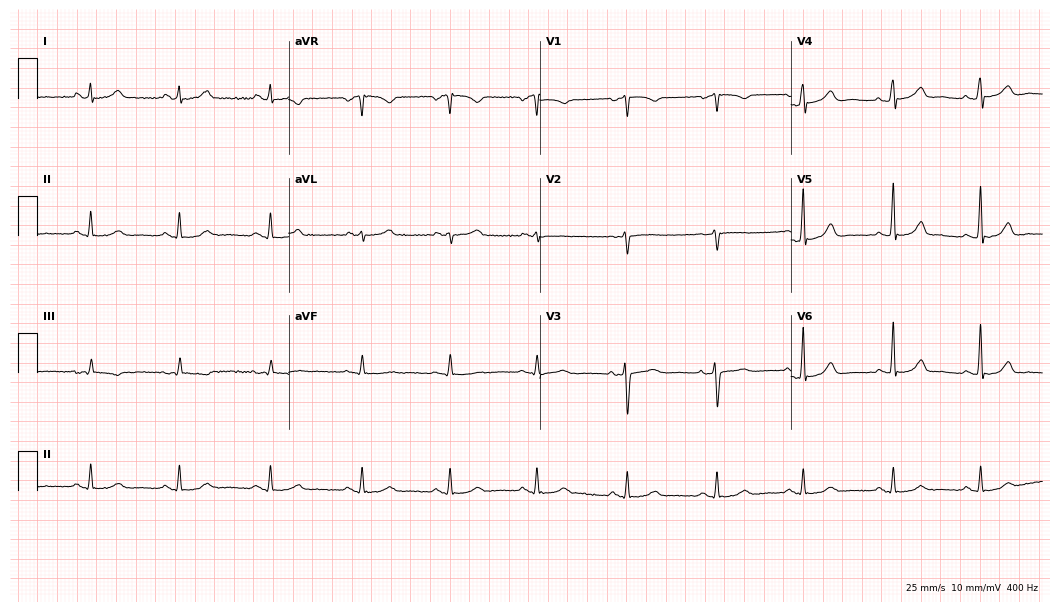
Resting 12-lead electrocardiogram (10.2-second recording at 400 Hz). Patient: a female, 36 years old. Read as a normal ECG.